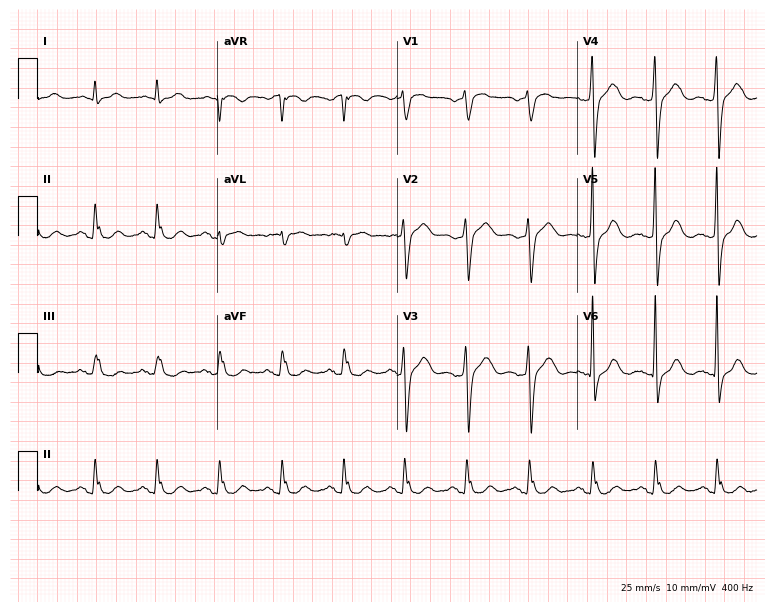
12-lead ECG from a 69-year-old male patient (7.3-second recording at 400 Hz). No first-degree AV block, right bundle branch block (RBBB), left bundle branch block (LBBB), sinus bradycardia, atrial fibrillation (AF) or sinus tachycardia recorded for this tracing. Findings outside these six are not listed.